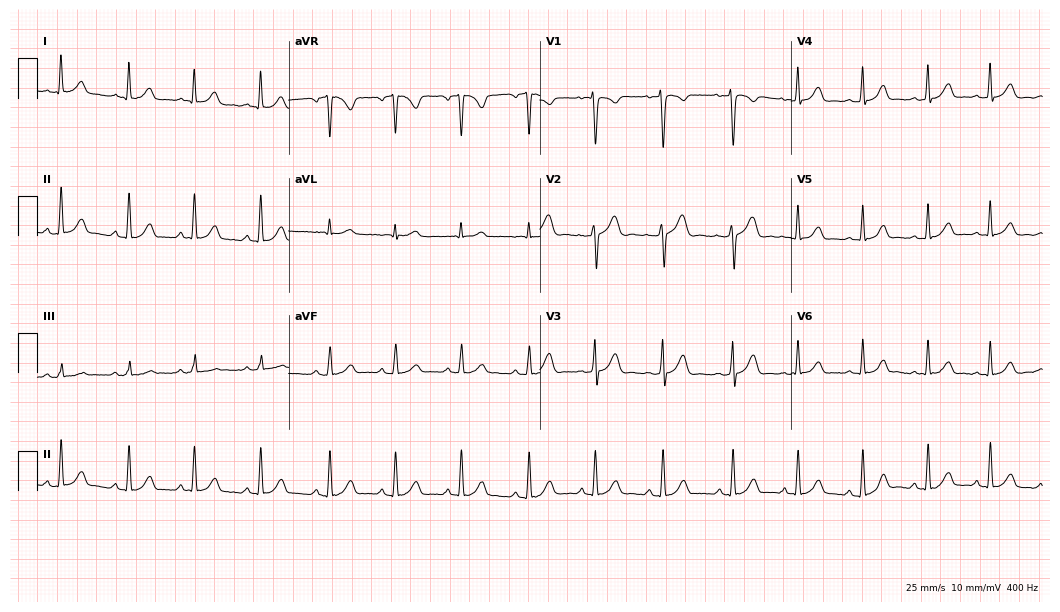
12-lead ECG from a female, 19 years old. Labelled as a normal ECG.